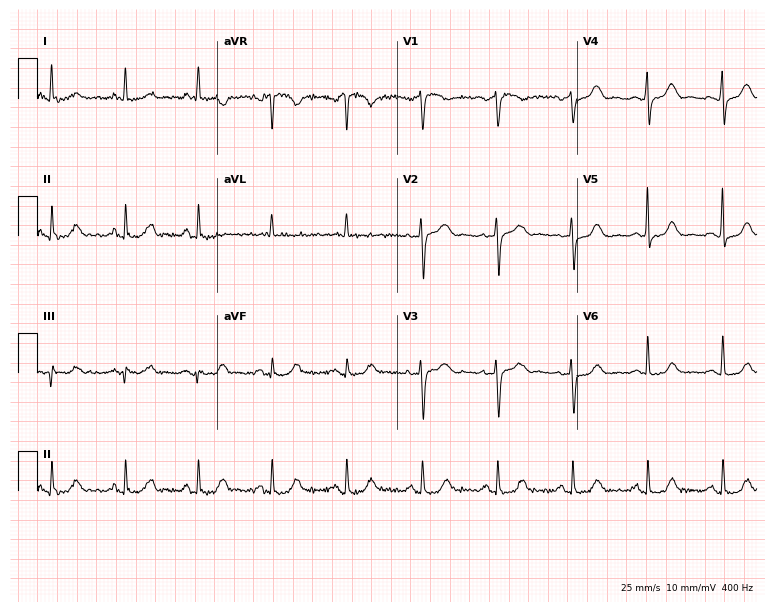
ECG — a 66-year-old female. Screened for six findings — first-degree AV block, right bundle branch block, left bundle branch block, sinus bradycardia, atrial fibrillation, sinus tachycardia — none is recorded.